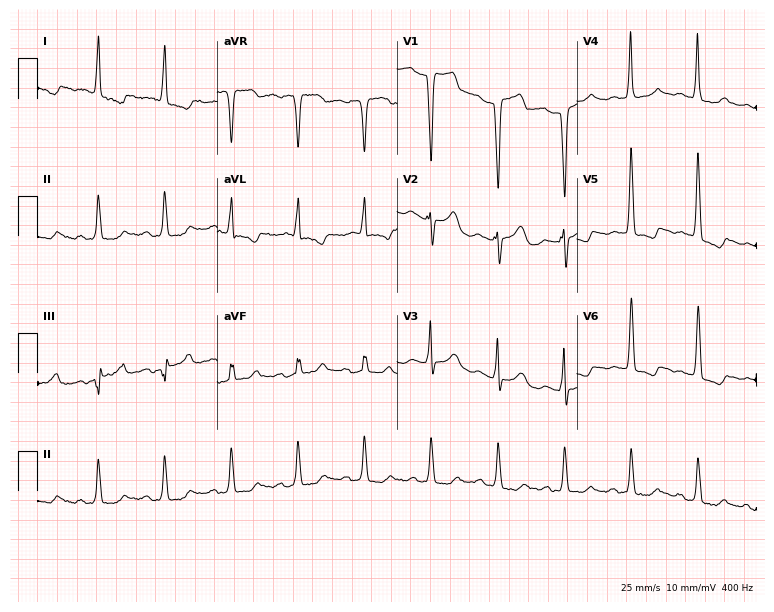
Standard 12-lead ECG recorded from a 78-year-old woman. None of these six findings is recorded: first-degree AV block, right bundle branch block, left bundle branch block, sinus bradycardia, atrial fibrillation, sinus tachycardia. Other findings, if any, are not listed.